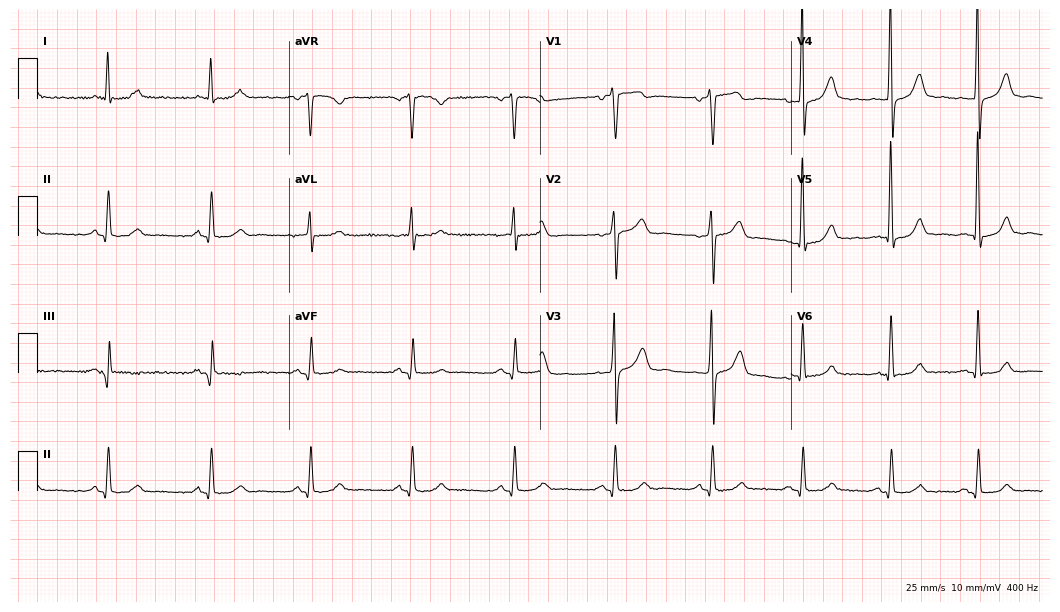
12-lead ECG (10.2-second recording at 400 Hz) from a woman, 58 years old. Screened for six findings — first-degree AV block, right bundle branch block, left bundle branch block, sinus bradycardia, atrial fibrillation, sinus tachycardia — none is recorded. Other findings, if any, are not listed.